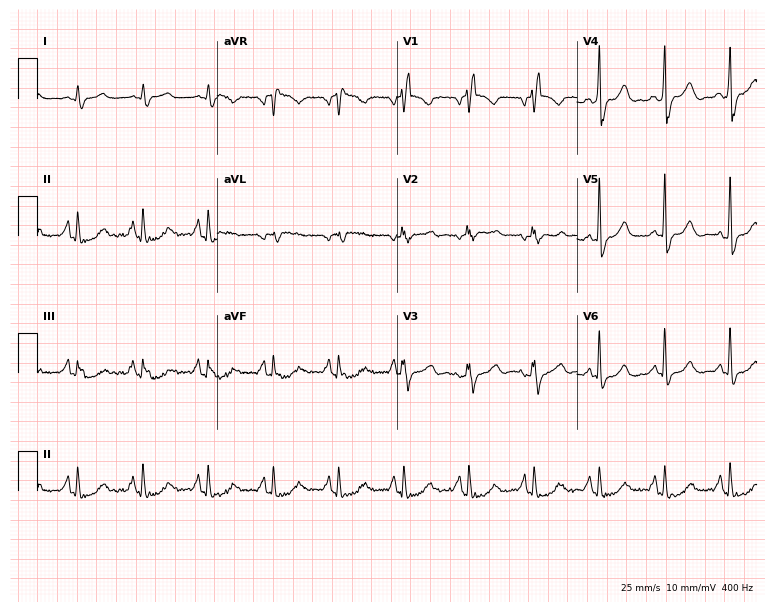
ECG — a male, 78 years old. Findings include right bundle branch block.